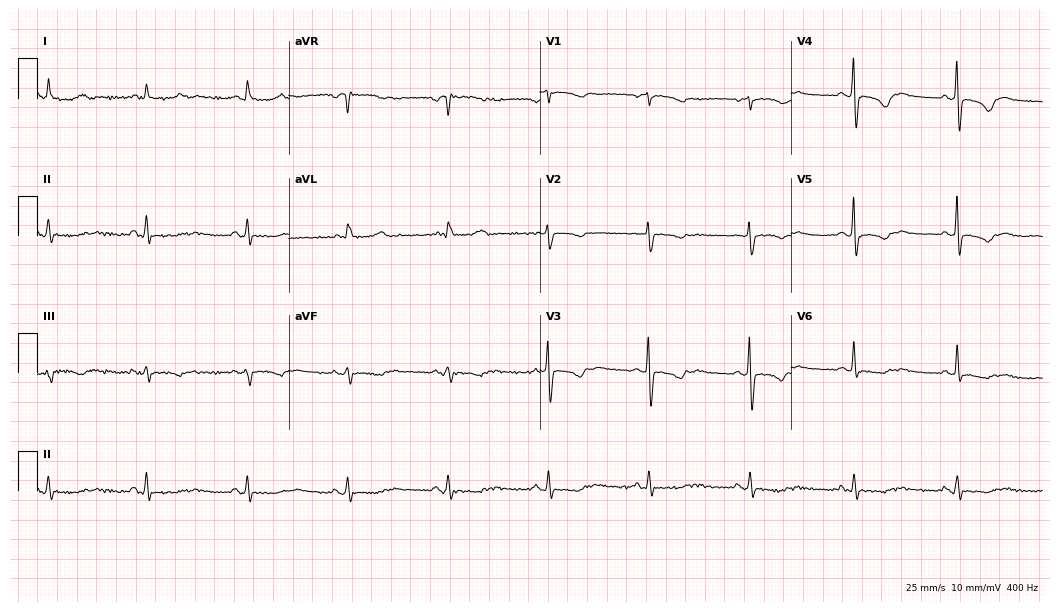
Standard 12-lead ECG recorded from a 71-year-old female (10.2-second recording at 400 Hz). None of these six findings is recorded: first-degree AV block, right bundle branch block, left bundle branch block, sinus bradycardia, atrial fibrillation, sinus tachycardia. Findings outside these six are not listed.